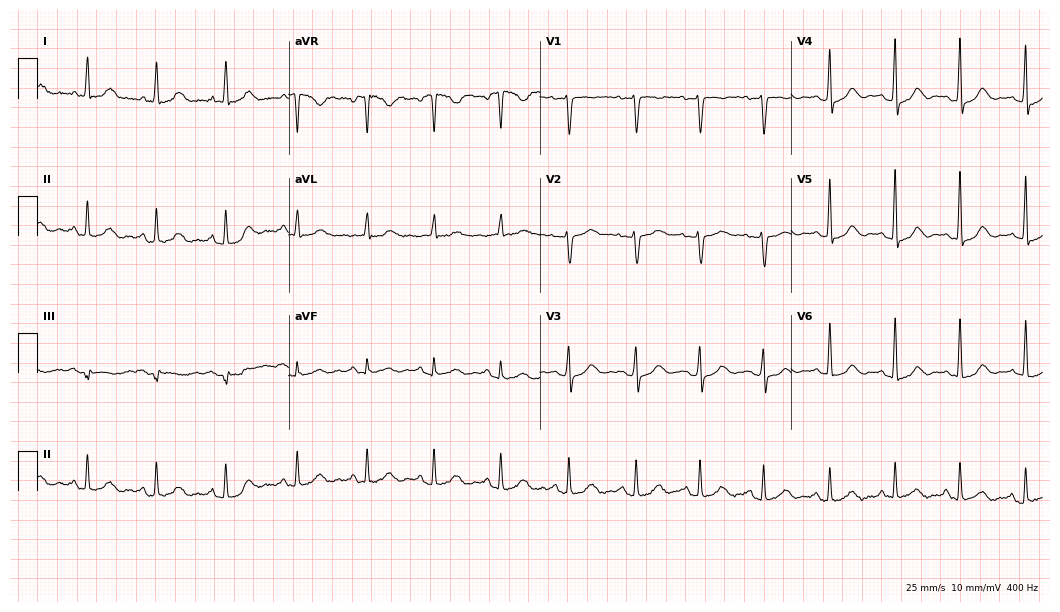
Standard 12-lead ECG recorded from a female patient, 50 years old. None of these six findings is recorded: first-degree AV block, right bundle branch block, left bundle branch block, sinus bradycardia, atrial fibrillation, sinus tachycardia.